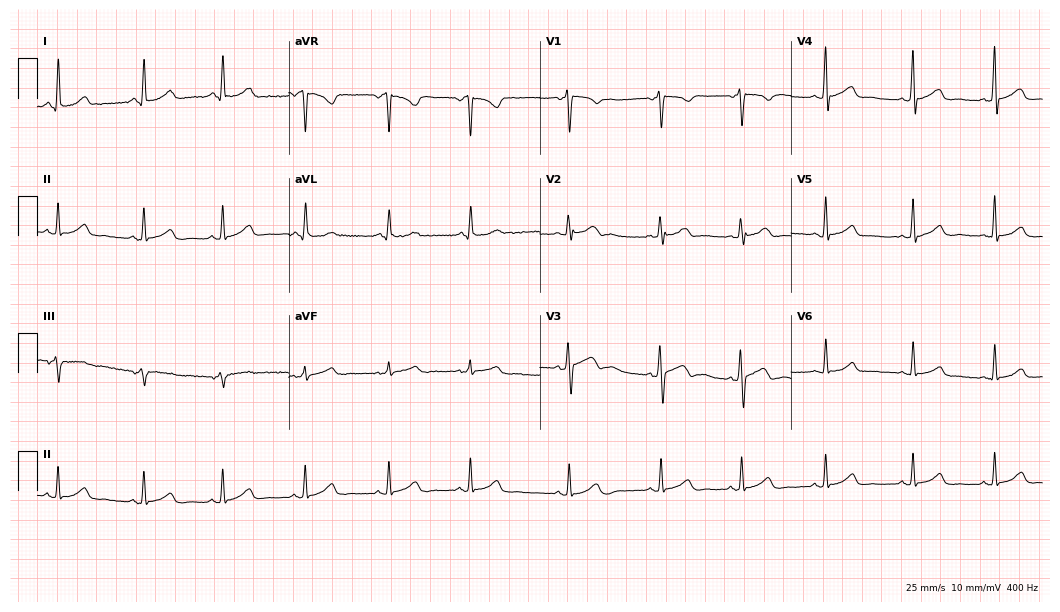
Resting 12-lead electrocardiogram. Patient: a 34-year-old female. Read as a normal ECG.